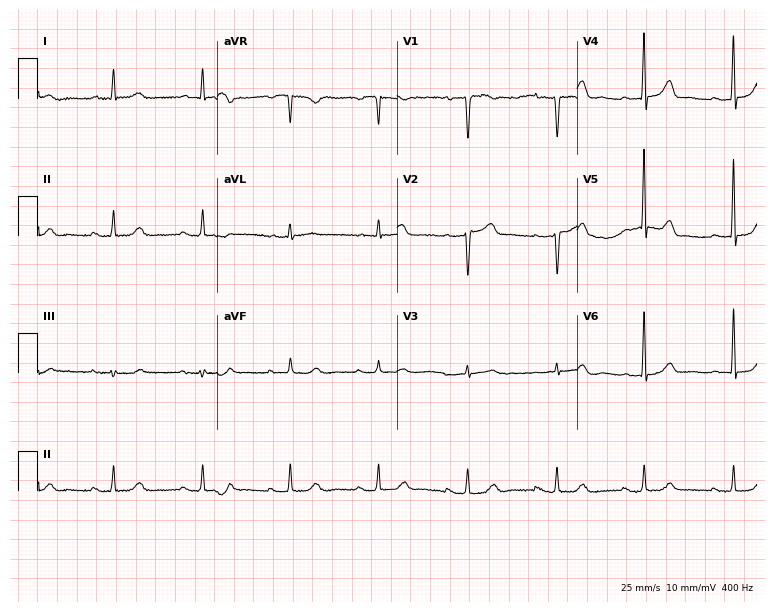
ECG (7.3-second recording at 400 Hz) — a woman, 61 years old. Screened for six findings — first-degree AV block, right bundle branch block, left bundle branch block, sinus bradycardia, atrial fibrillation, sinus tachycardia — none is recorded.